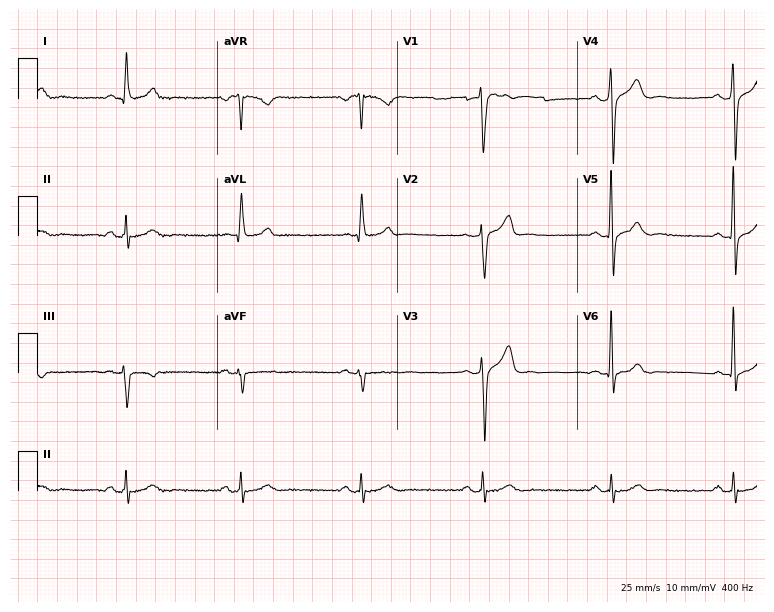
Electrocardiogram (7.3-second recording at 400 Hz), a male patient, 53 years old. Interpretation includes sinus bradycardia (a sinus rate of 50 beats per minute or less).